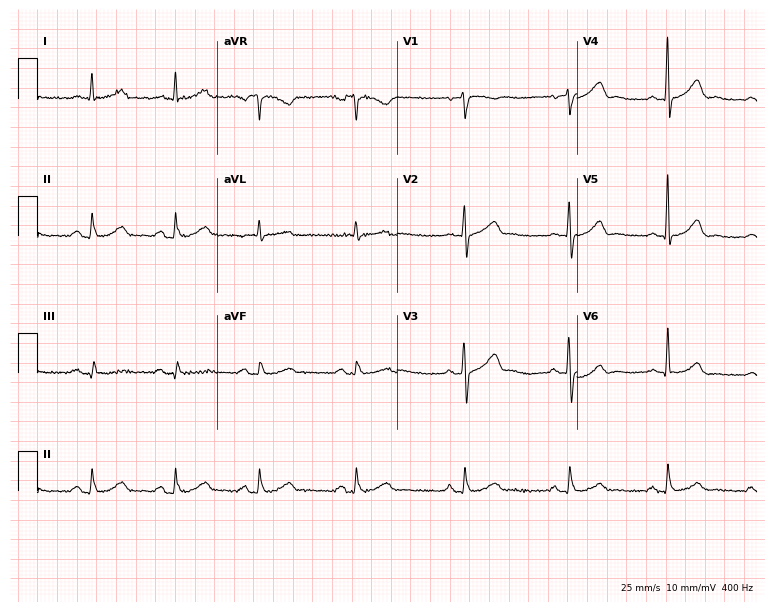
Standard 12-lead ECG recorded from a man, 61 years old. None of these six findings is recorded: first-degree AV block, right bundle branch block, left bundle branch block, sinus bradycardia, atrial fibrillation, sinus tachycardia. Other findings, if any, are not listed.